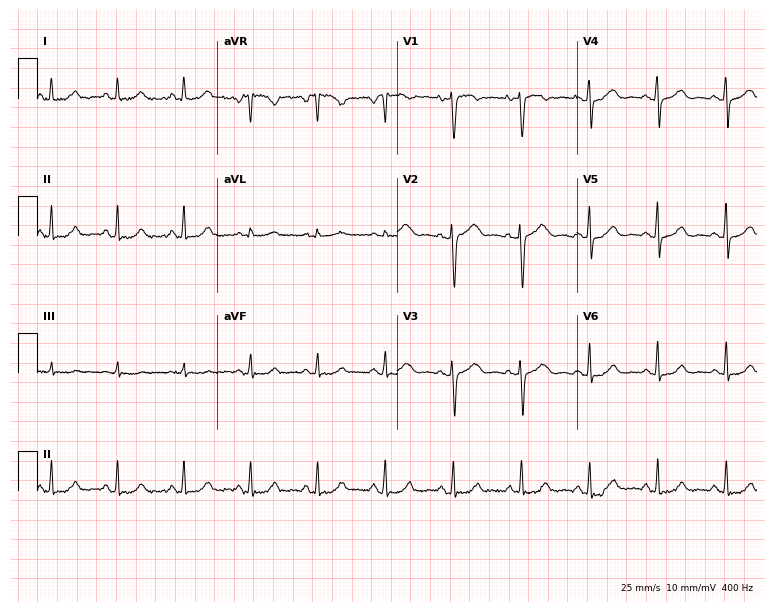
Electrocardiogram, a woman, 51 years old. Of the six screened findings (first-degree AV block, right bundle branch block, left bundle branch block, sinus bradycardia, atrial fibrillation, sinus tachycardia), none is recorded. Findings outside these six are not listed.